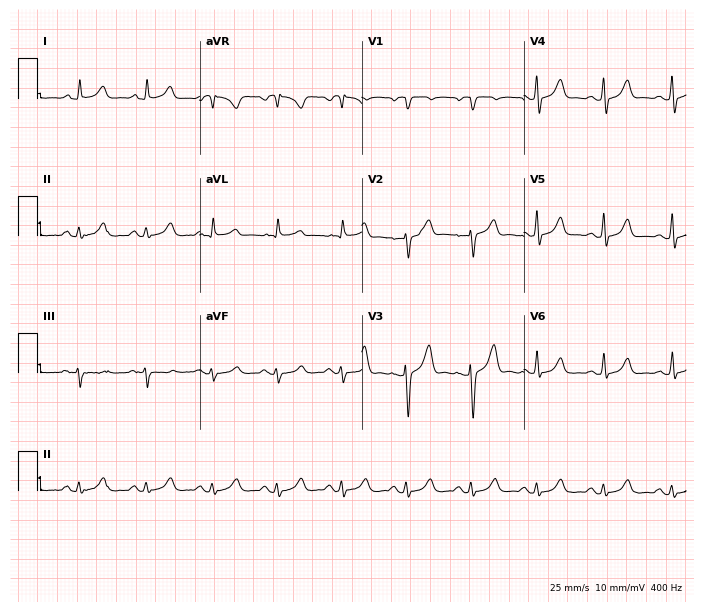
ECG — a 40-year-old man. Screened for six findings — first-degree AV block, right bundle branch block, left bundle branch block, sinus bradycardia, atrial fibrillation, sinus tachycardia — none is recorded. Other findings, if any, are not listed.